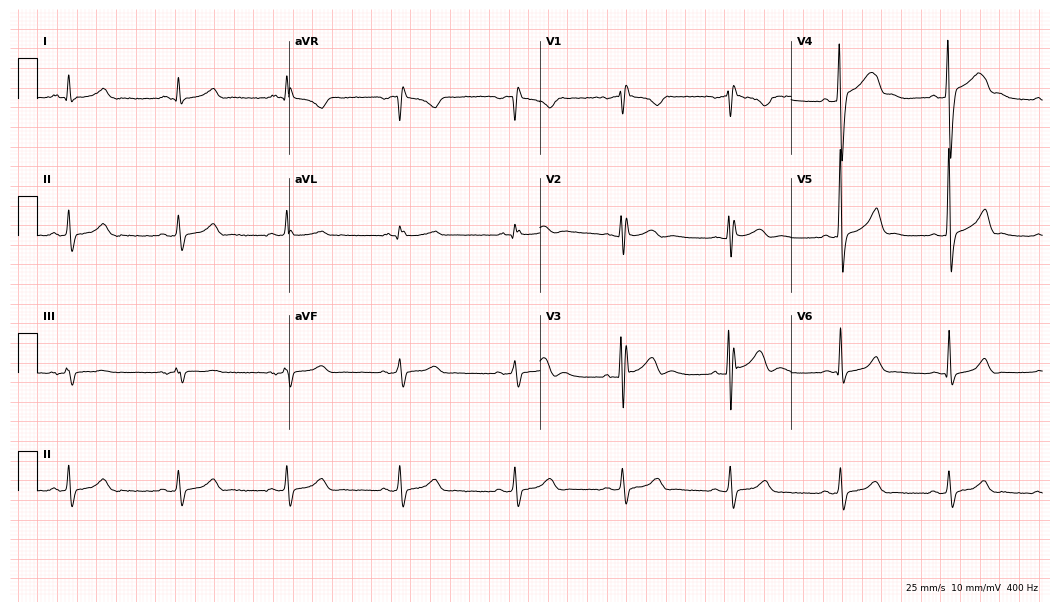
Resting 12-lead electrocardiogram. Patient: a 36-year-old male. None of these six findings is recorded: first-degree AV block, right bundle branch block, left bundle branch block, sinus bradycardia, atrial fibrillation, sinus tachycardia.